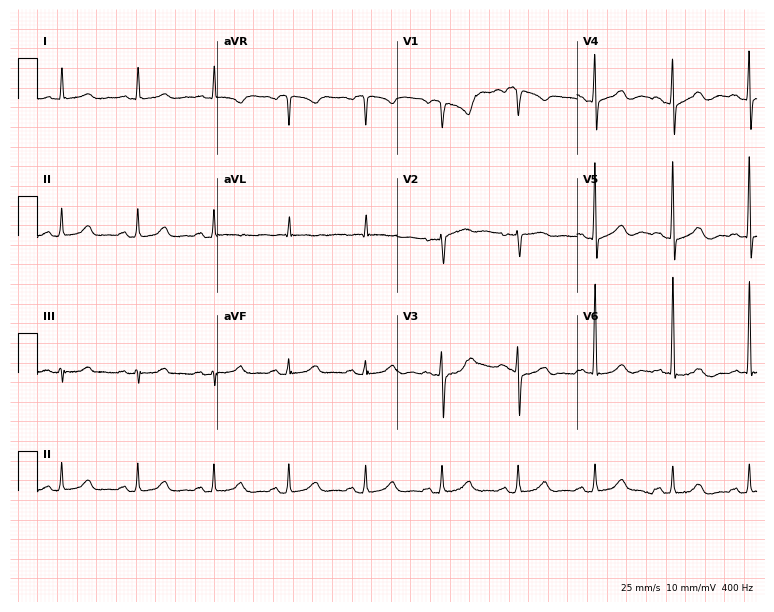
Resting 12-lead electrocardiogram (7.3-second recording at 400 Hz). Patient: a male, 74 years old. None of these six findings is recorded: first-degree AV block, right bundle branch block, left bundle branch block, sinus bradycardia, atrial fibrillation, sinus tachycardia. Only these six findings were labelled.